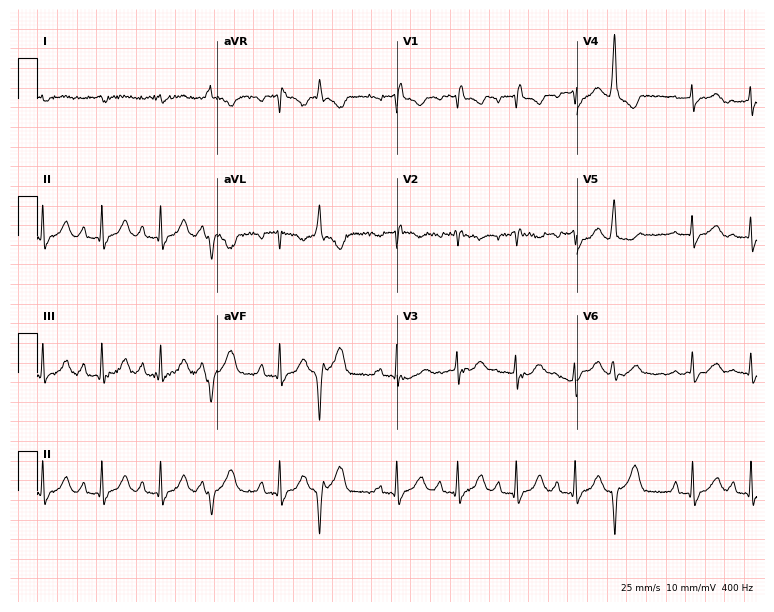
12-lead ECG from an 85-year-old male. No first-degree AV block, right bundle branch block, left bundle branch block, sinus bradycardia, atrial fibrillation or sinus tachycardia recorded for this tracing.